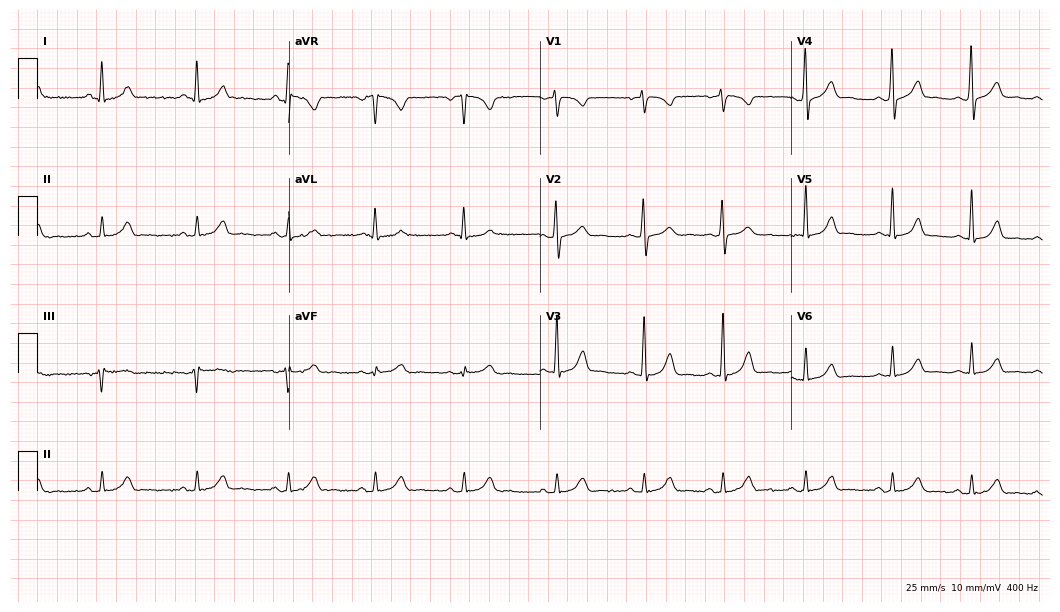
12-lead ECG from a woman, 25 years old (10.2-second recording at 400 Hz). No first-degree AV block, right bundle branch block, left bundle branch block, sinus bradycardia, atrial fibrillation or sinus tachycardia recorded for this tracing. Findings outside these six are not listed.